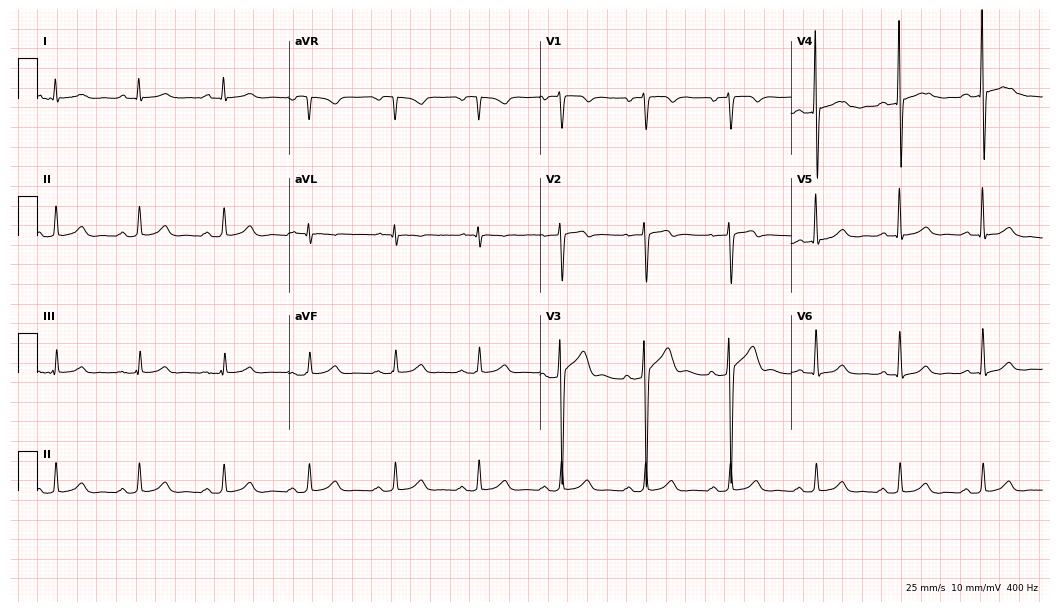
ECG (10.2-second recording at 400 Hz) — a male patient, 53 years old. Labelled as a normal ECG.